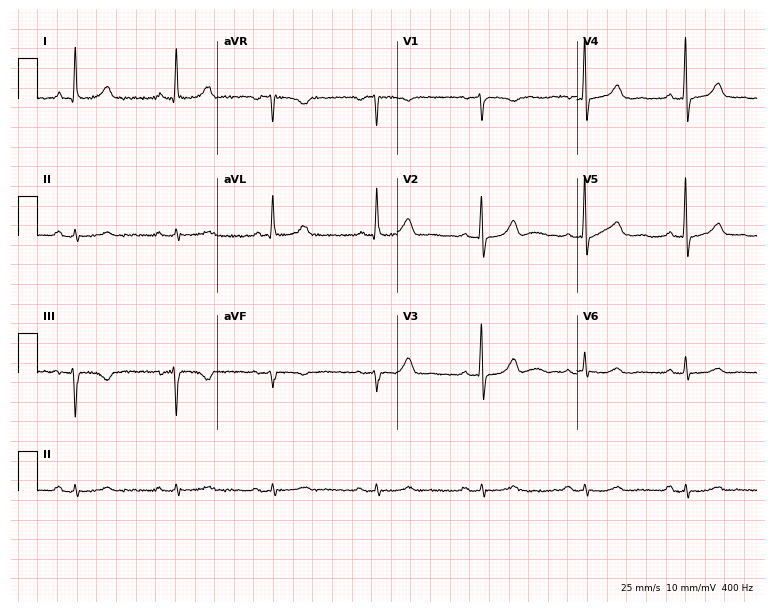
Electrocardiogram, a 72-year-old man. Overall reading on record: normal ECG.